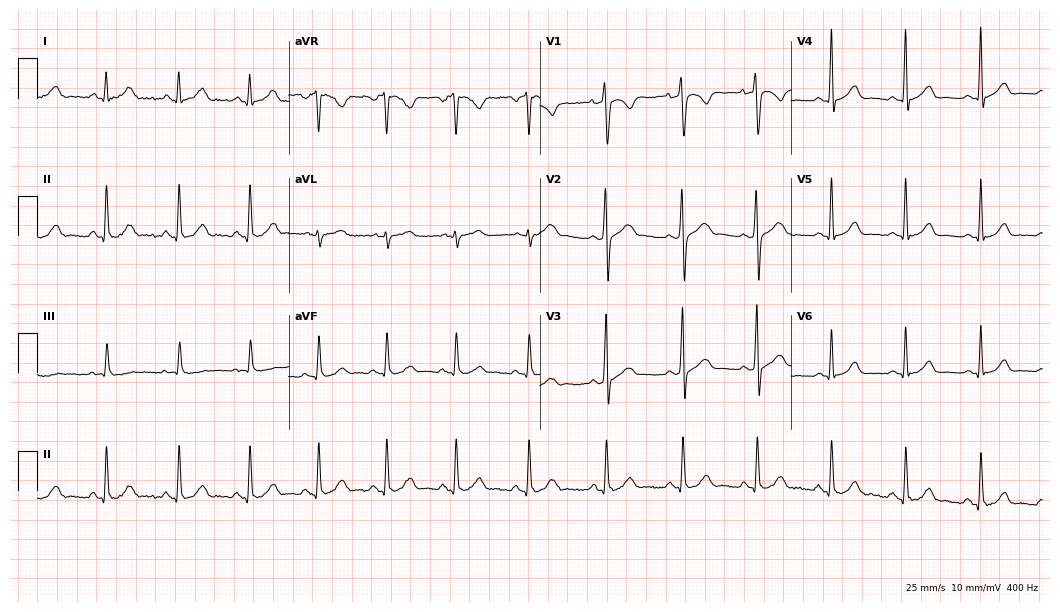
ECG (10.2-second recording at 400 Hz) — a male patient, 32 years old. Screened for six findings — first-degree AV block, right bundle branch block (RBBB), left bundle branch block (LBBB), sinus bradycardia, atrial fibrillation (AF), sinus tachycardia — none is recorded. Findings outside these six are not listed.